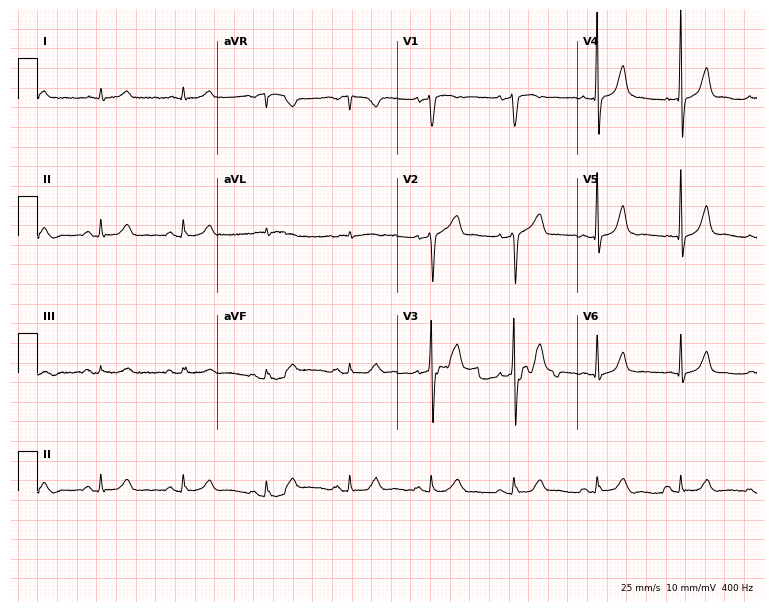
Standard 12-lead ECG recorded from a male, 69 years old (7.3-second recording at 400 Hz). Read as a normal ECG.